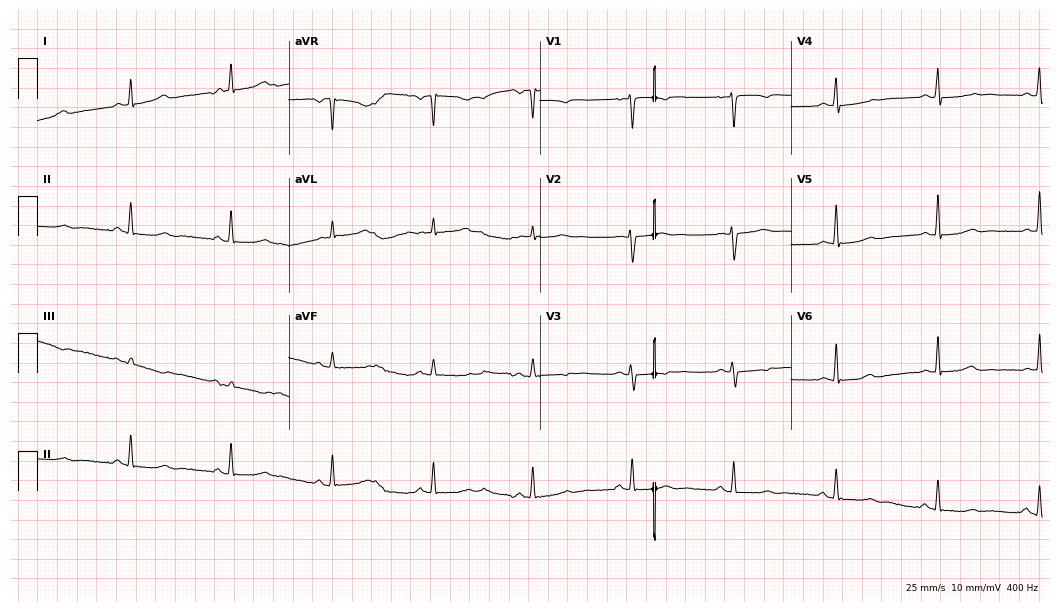
ECG (10.2-second recording at 400 Hz) — a 57-year-old woman. Screened for six findings — first-degree AV block, right bundle branch block, left bundle branch block, sinus bradycardia, atrial fibrillation, sinus tachycardia — none is recorded.